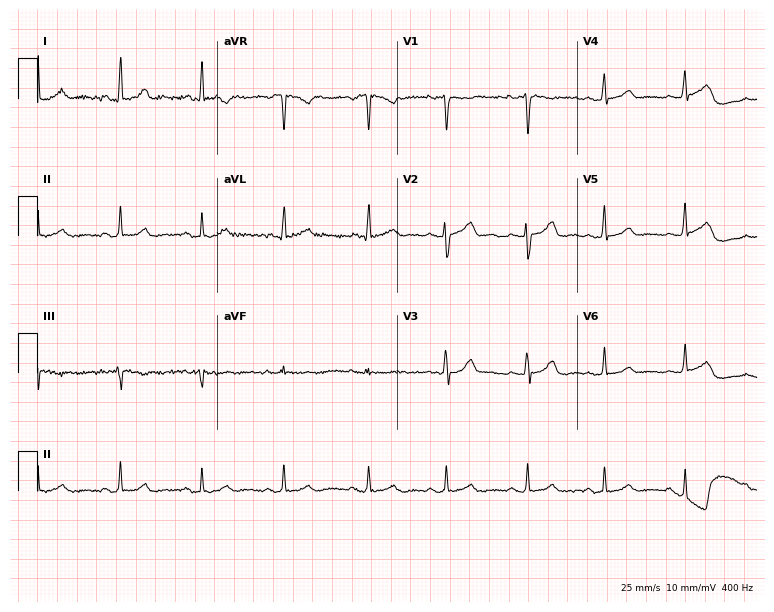
Electrocardiogram (7.3-second recording at 400 Hz), a female, 41 years old. Overall reading on record: normal ECG.